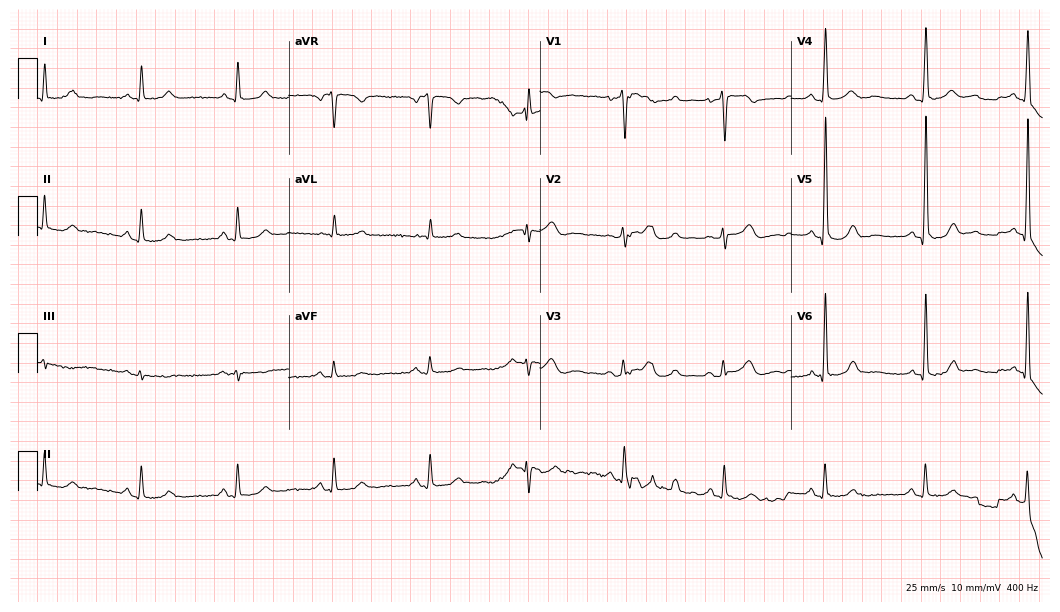
Electrocardiogram (10.2-second recording at 400 Hz), a female, 80 years old. Overall reading on record: normal ECG.